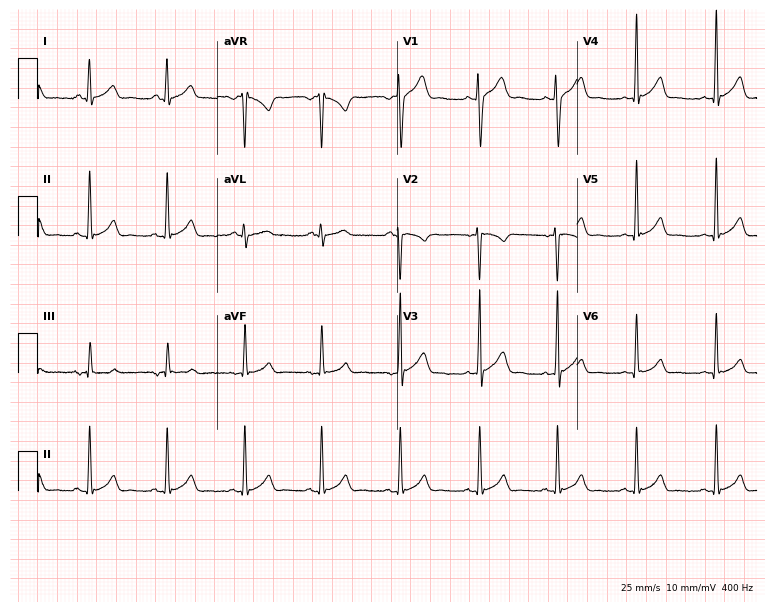
12-lead ECG from a male, 30 years old. Recorded interpretation: within normal limits.